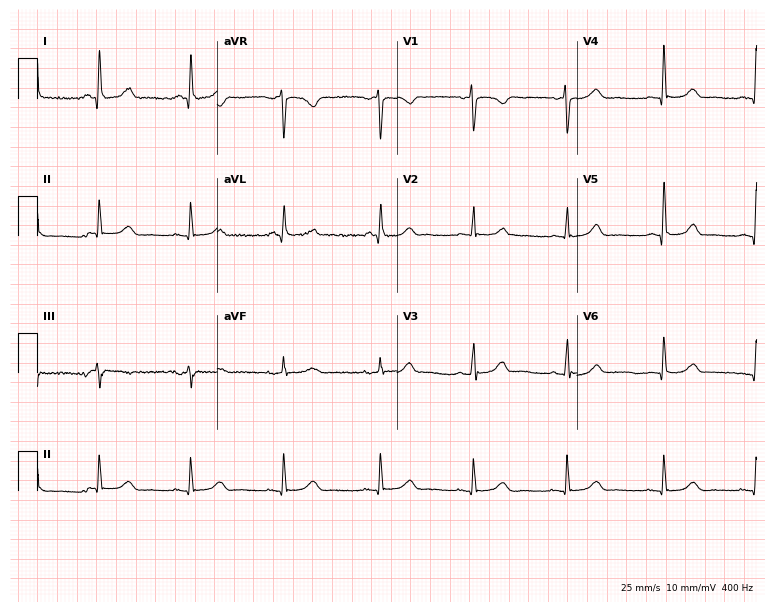
Resting 12-lead electrocardiogram. Patient: a woman, 60 years old. None of these six findings is recorded: first-degree AV block, right bundle branch block, left bundle branch block, sinus bradycardia, atrial fibrillation, sinus tachycardia. Findings outside these six are not listed.